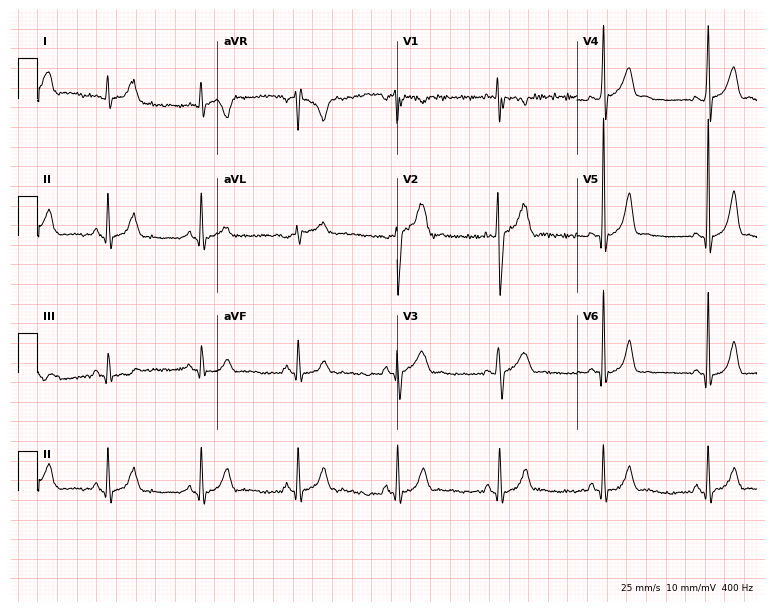
12-lead ECG (7.3-second recording at 400 Hz) from a 20-year-old male. Screened for six findings — first-degree AV block, right bundle branch block, left bundle branch block, sinus bradycardia, atrial fibrillation, sinus tachycardia — none is recorded. Findings outside these six are not listed.